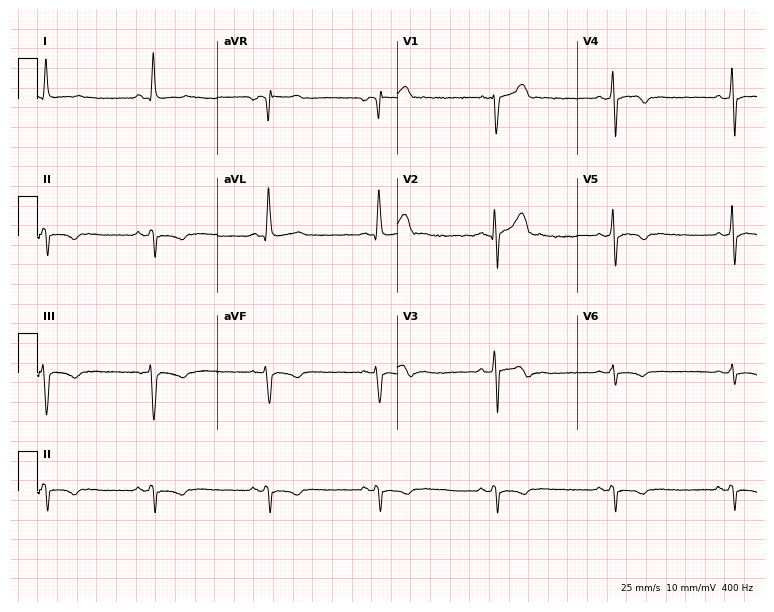
Standard 12-lead ECG recorded from a male, 43 years old (7.3-second recording at 400 Hz). None of these six findings is recorded: first-degree AV block, right bundle branch block, left bundle branch block, sinus bradycardia, atrial fibrillation, sinus tachycardia.